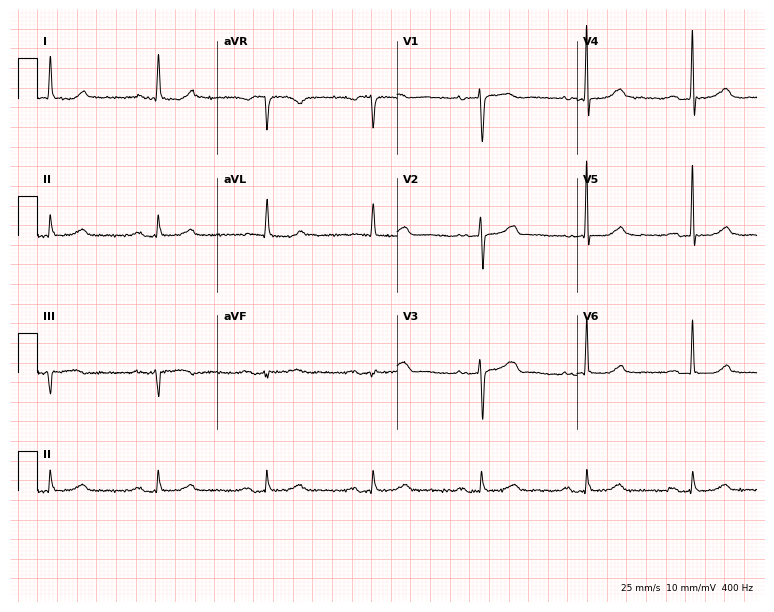
12-lead ECG from a female patient, 67 years old. No first-degree AV block, right bundle branch block, left bundle branch block, sinus bradycardia, atrial fibrillation or sinus tachycardia recorded for this tracing.